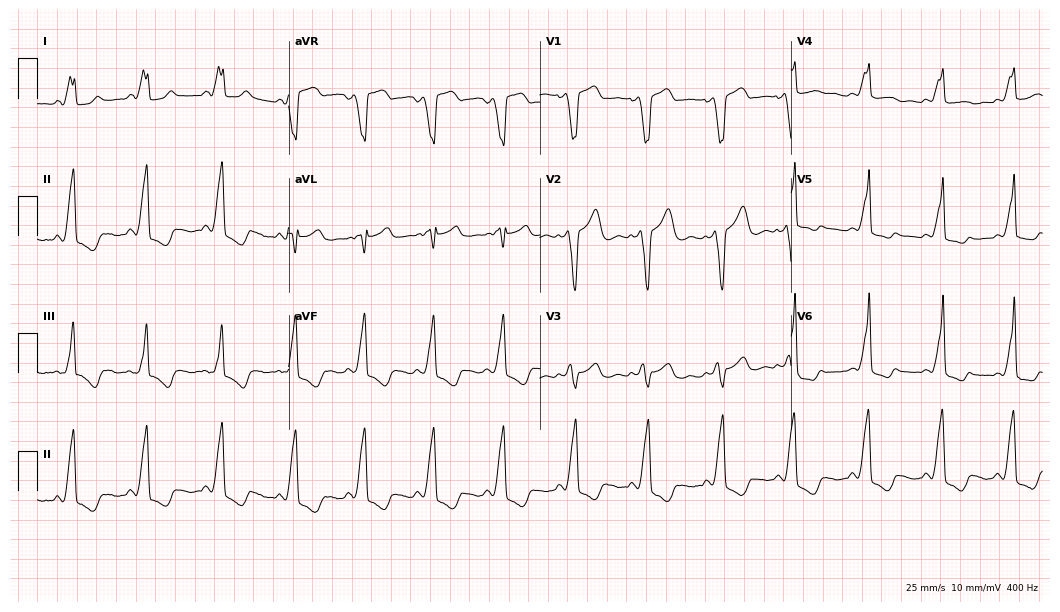
12-lead ECG from a 21-year-old female patient (10.2-second recording at 400 Hz). Shows left bundle branch block (LBBB).